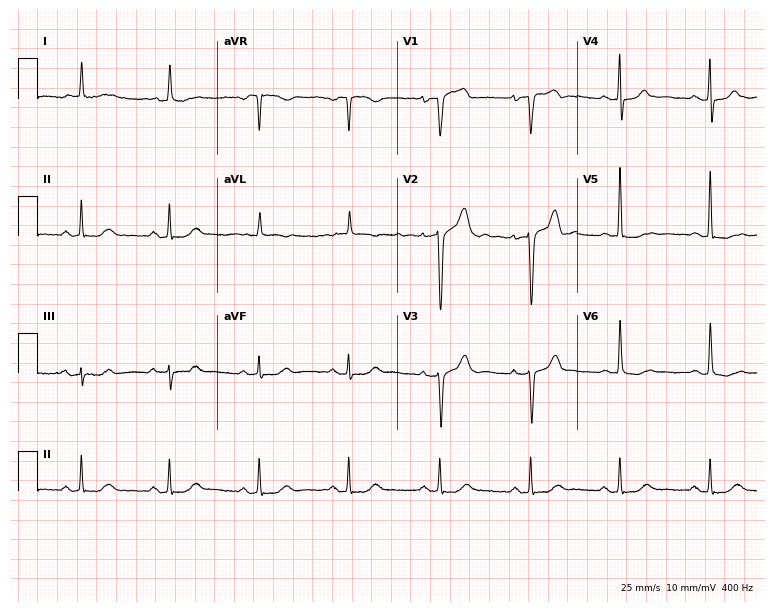
12-lead ECG from a 72-year-old female. Recorded interpretation: within normal limits.